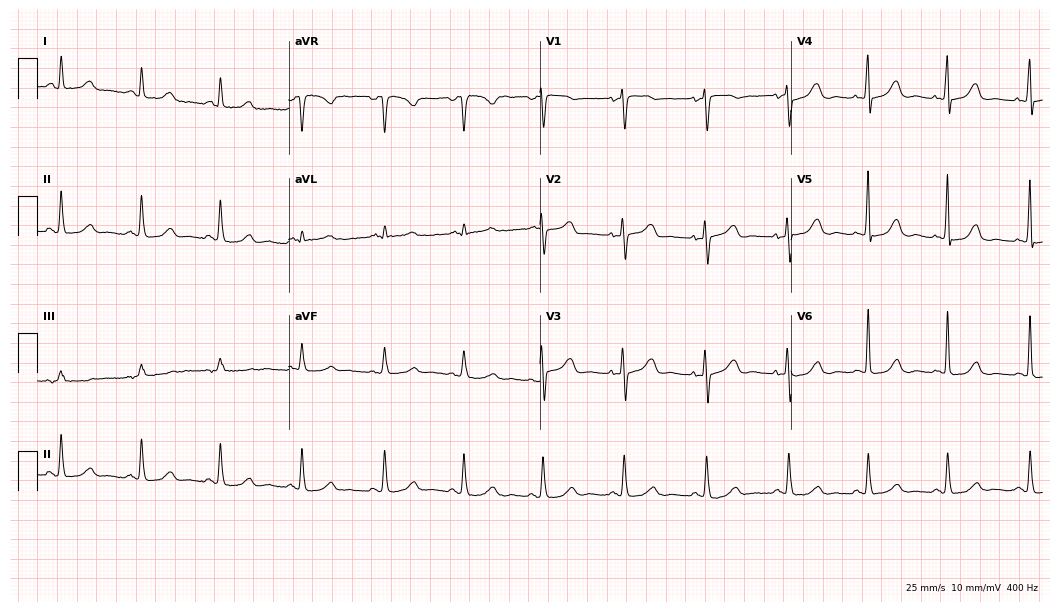
Standard 12-lead ECG recorded from a 77-year-old woman. None of these six findings is recorded: first-degree AV block, right bundle branch block, left bundle branch block, sinus bradycardia, atrial fibrillation, sinus tachycardia.